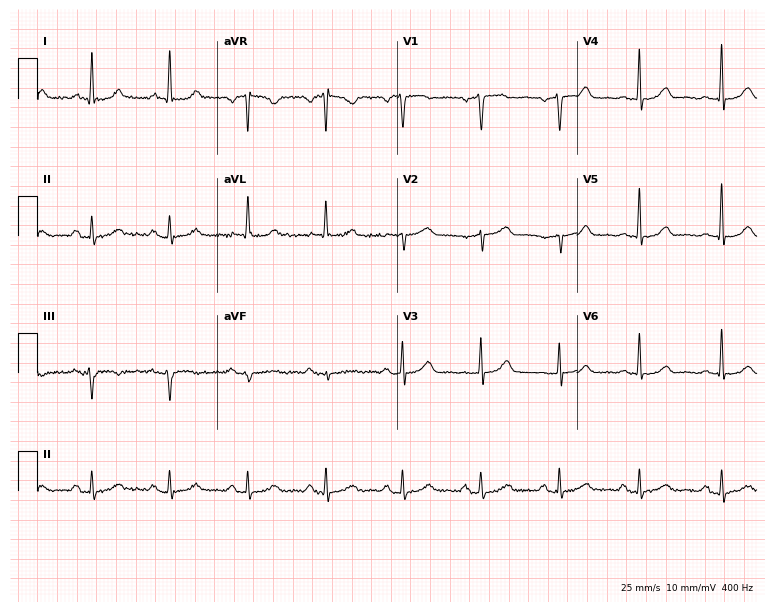
ECG (7.3-second recording at 400 Hz) — a woman, 62 years old. Screened for six findings — first-degree AV block, right bundle branch block, left bundle branch block, sinus bradycardia, atrial fibrillation, sinus tachycardia — none is recorded. Only these six findings were labelled.